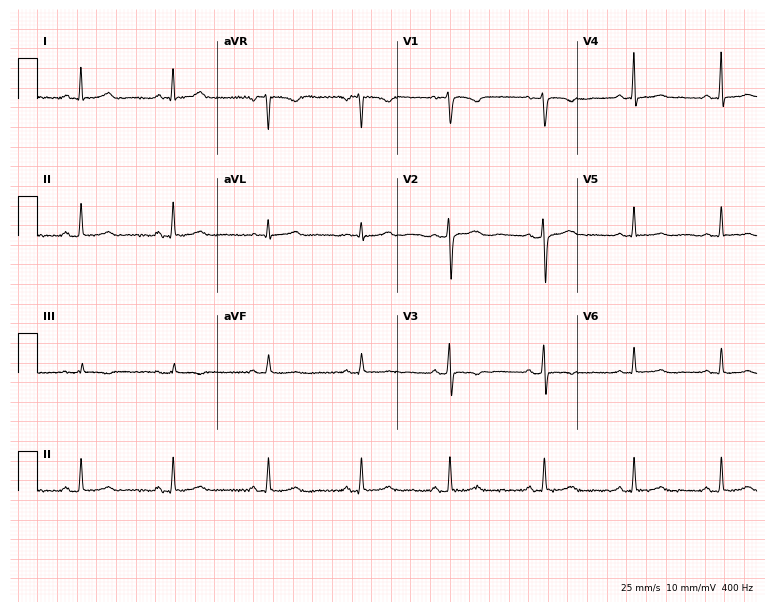
Electrocardiogram (7.3-second recording at 400 Hz), a 55-year-old female patient. Of the six screened findings (first-degree AV block, right bundle branch block, left bundle branch block, sinus bradycardia, atrial fibrillation, sinus tachycardia), none is recorded. Findings outside these six are not listed.